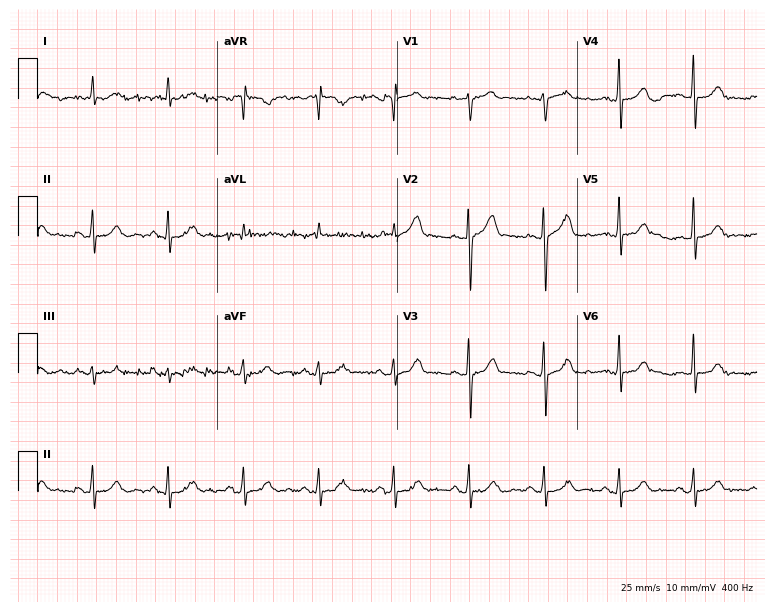
Resting 12-lead electrocardiogram. Patient: a man, 73 years old. Read as a normal ECG.